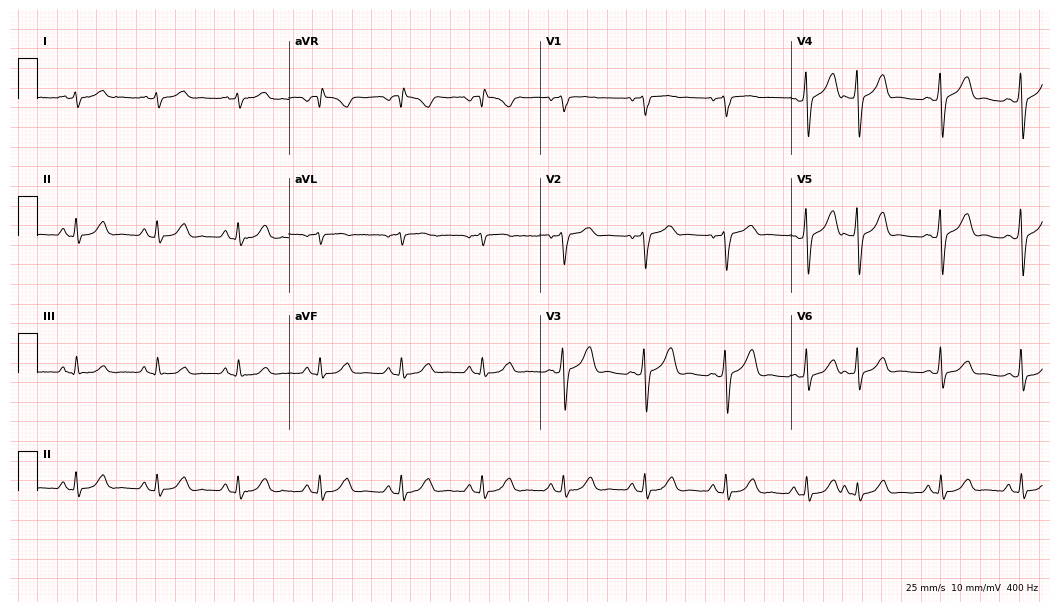
Electrocardiogram (10.2-second recording at 400 Hz), a 62-year-old male. Of the six screened findings (first-degree AV block, right bundle branch block, left bundle branch block, sinus bradycardia, atrial fibrillation, sinus tachycardia), none is recorded. Only these six findings were labelled.